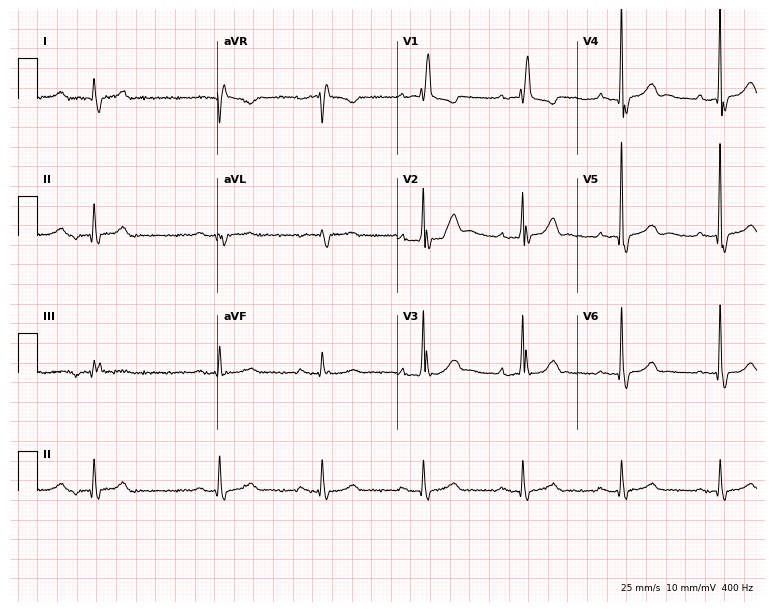
Electrocardiogram, a male patient, 80 years old. Interpretation includes right bundle branch block.